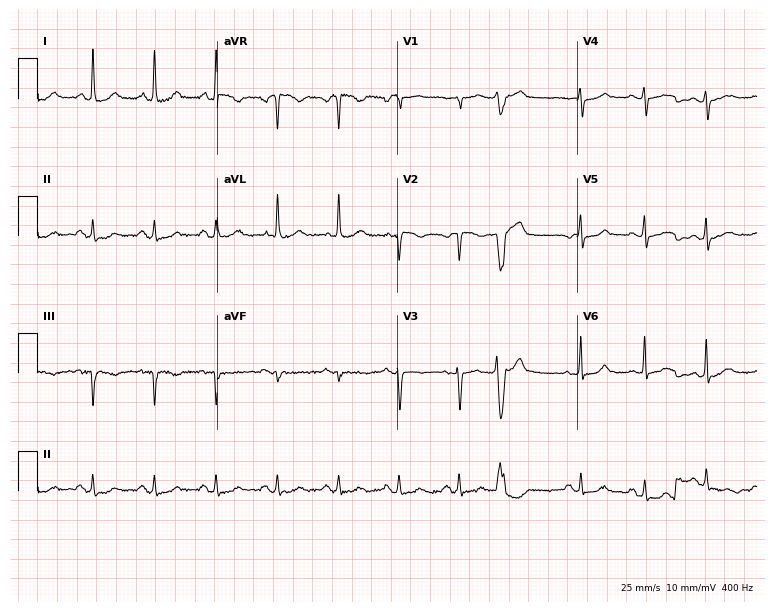
Electrocardiogram (7.3-second recording at 400 Hz), a female patient, 84 years old. Of the six screened findings (first-degree AV block, right bundle branch block (RBBB), left bundle branch block (LBBB), sinus bradycardia, atrial fibrillation (AF), sinus tachycardia), none is recorded.